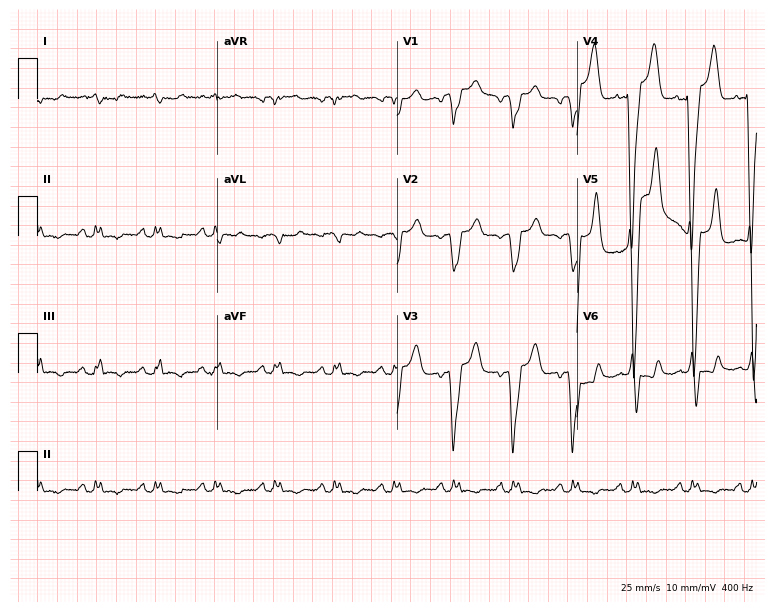
ECG — a female patient, 73 years old. Findings include left bundle branch block (LBBB).